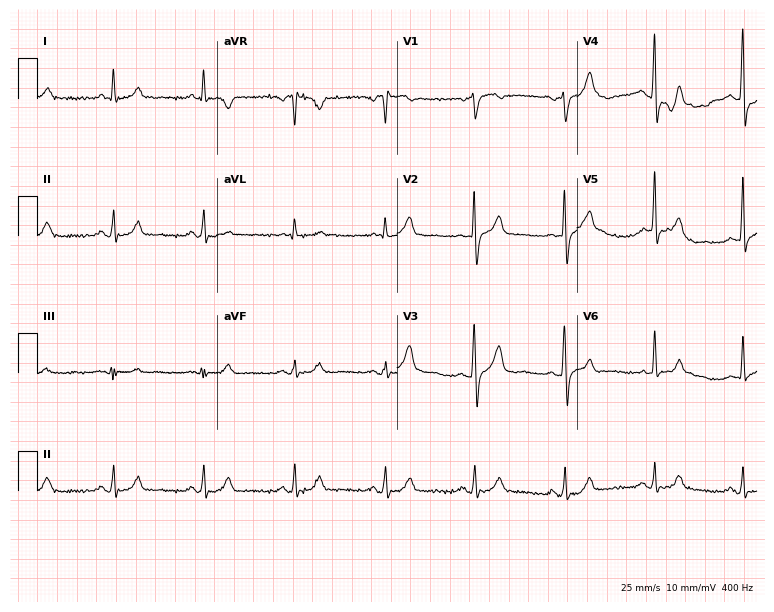
Electrocardiogram (7.3-second recording at 400 Hz), a 67-year-old man. Overall reading on record: normal ECG.